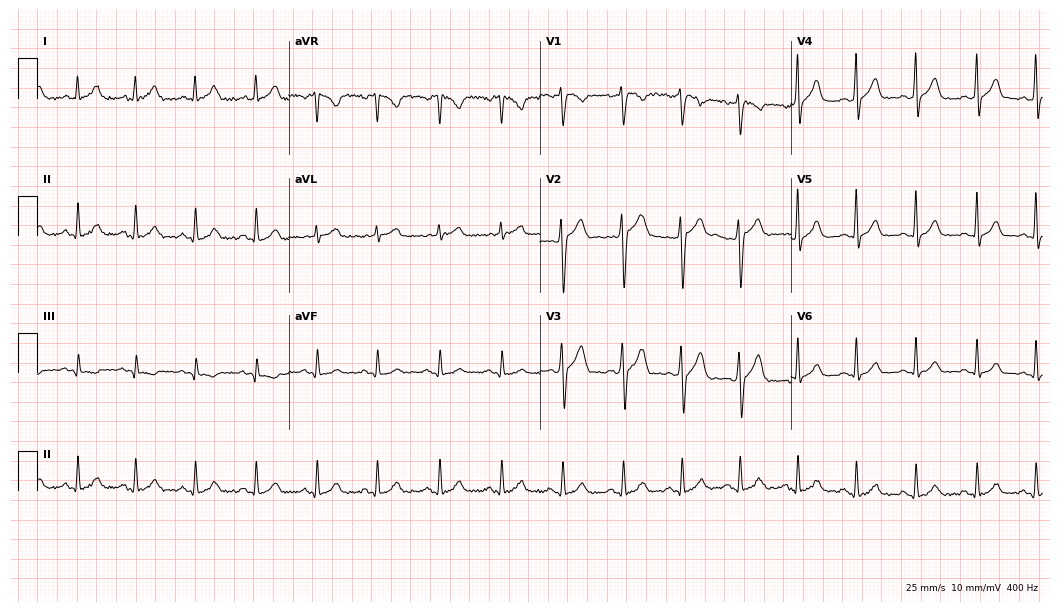
Resting 12-lead electrocardiogram (10.2-second recording at 400 Hz). Patient: a male, 44 years old. Read as a normal ECG.